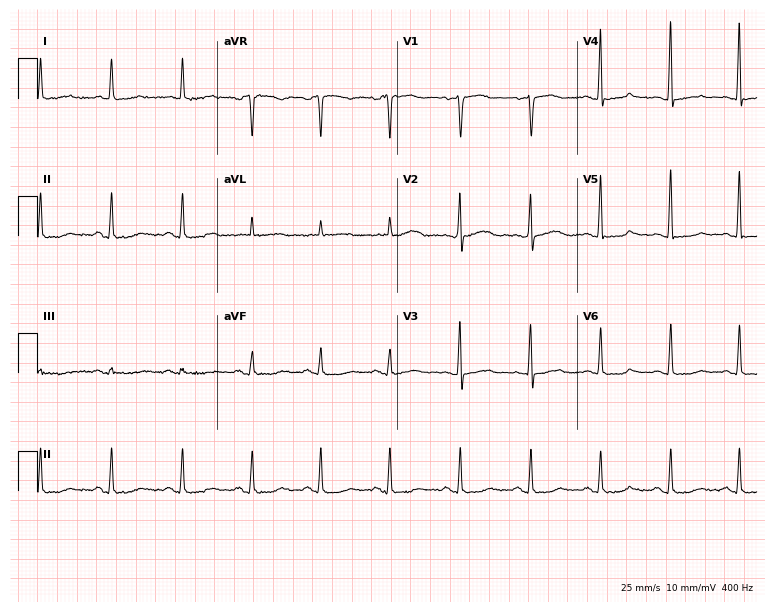
12-lead ECG (7.3-second recording at 400 Hz) from a 62-year-old female patient. Screened for six findings — first-degree AV block, right bundle branch block, left bundle branch block, sinus bradycardia, atrial fibrillation, sinus tachycardia — none is recorded.